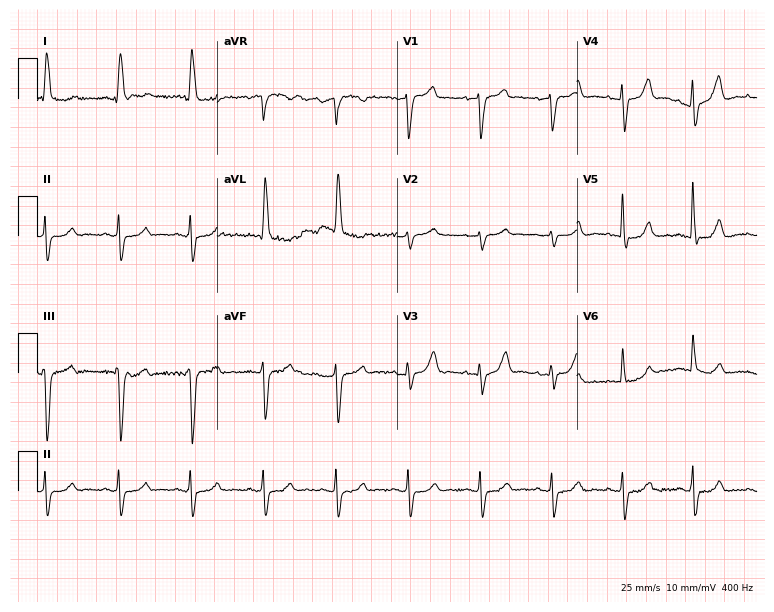
Standard 12-lead ECG recorded from an 82-year-old female patient (7.3-second recording at 400 Hz). None of these six findings is recorded: first-degree AV block, right bundle branch block, left bundle branch block, sinus bradycardia, atrial fibrillation, sinus tachycardia. Only these six findings were labelled.